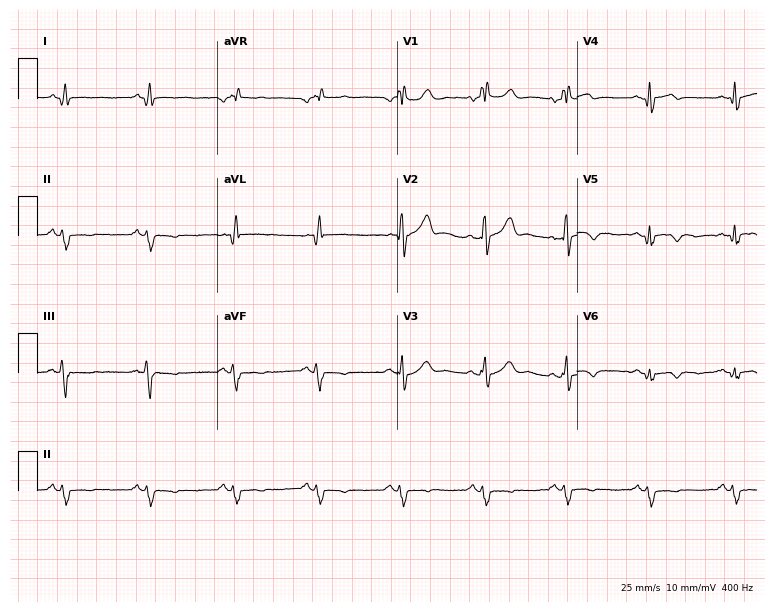
12-lead ECG from a man, 49 years old (7.3-second recording at 400 Hz). No first-degree AV block, right bundle branch block, left bundle branch block, sinus bradycardia, atrial fibrillation or sinus tachycardia recorded for this tracing.